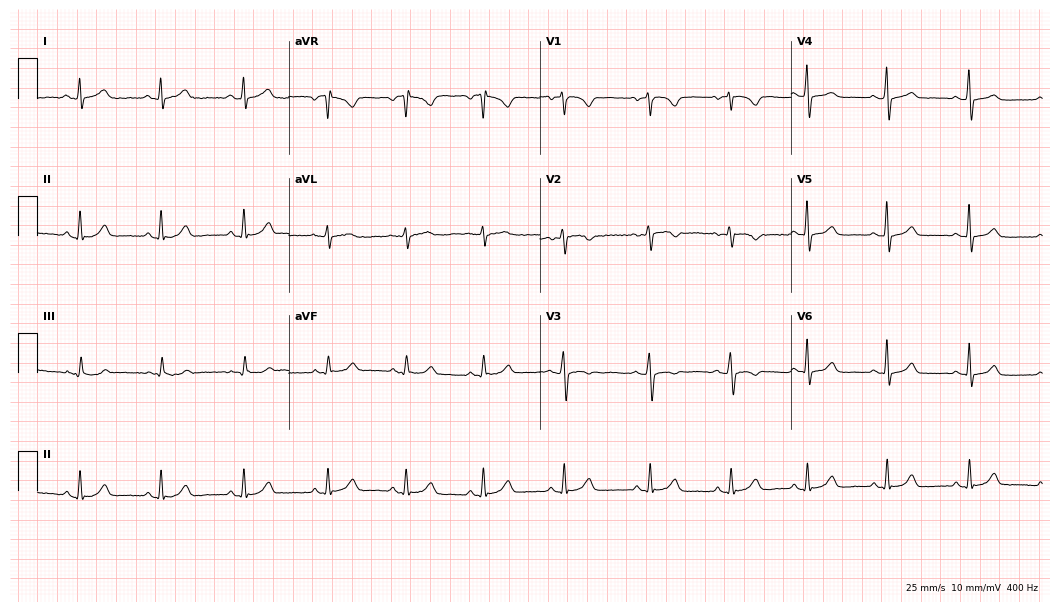
Electrocardiogram, a 39-year-old female patient. Overall reading on record: normal ECG.